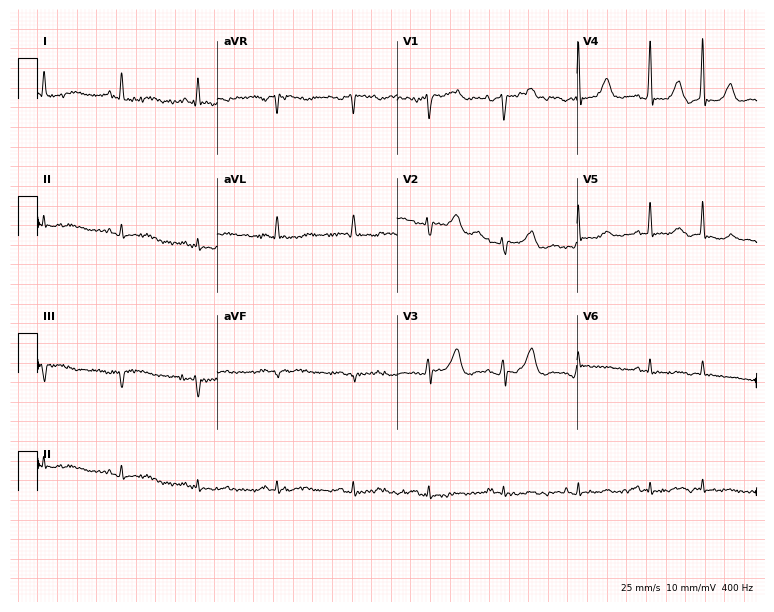
ECG (7.3-second recording at 400 Hz) — a 79-year-old female patient. Screened for six findings — first-degree AV block, right bundle branch block, left bundle branch block, sinus bradycardia, atrial fibrillation, sinus tachycardia — none is recorded. Other findings, if any, are not listed.